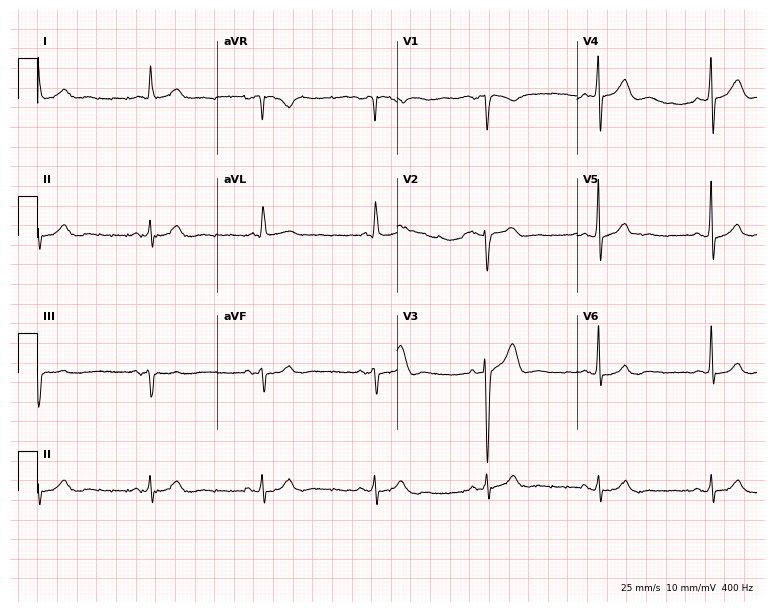
Standard 12-lead ECG recorded from a 67-year-old male patient. Read as a normal ECG.